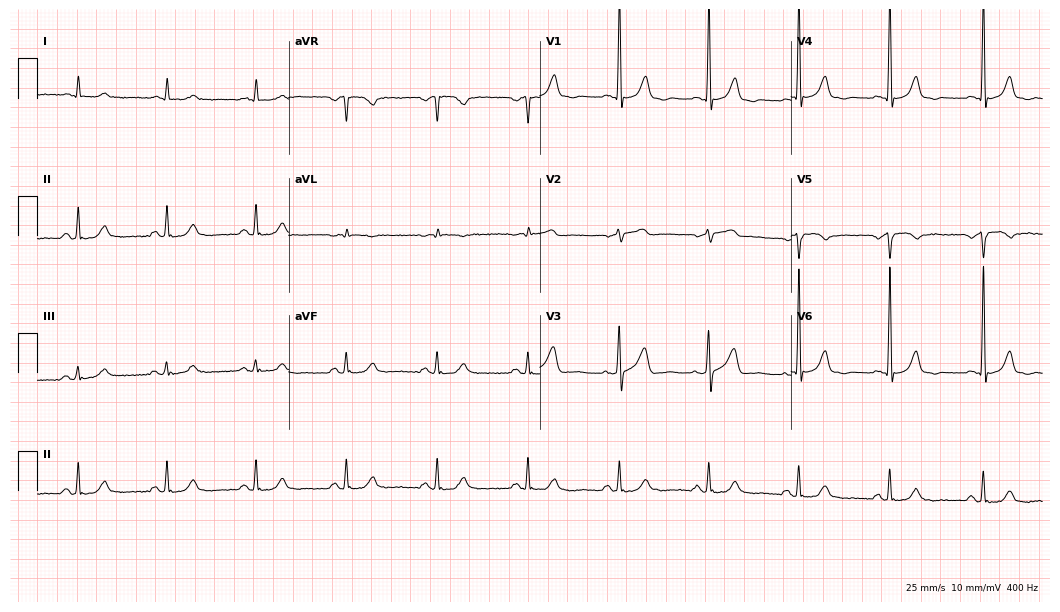
Standard 12-lead ECG recorded from a man, 75 years old (10.2-second recording at 400 Hz). None of these six findings is recorded: first-degree AV block, right bundle branch block, left bundle branch block, sinus bradycardia, atrial fibrillation, sinus tachycardia.